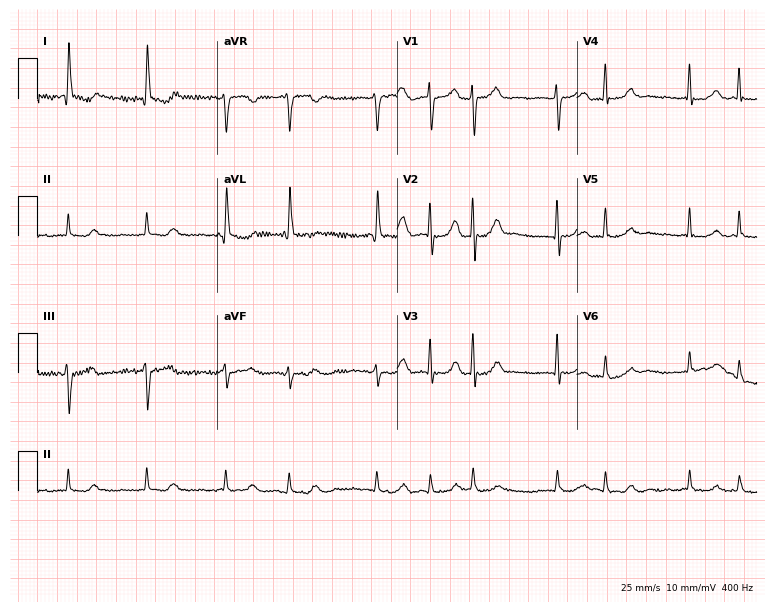
Resting 12-lead electrocardiogram (7.3-second recording at 400 Hz). Patient: a woman, 74 years old. The tracing shows atrial fibrillation.